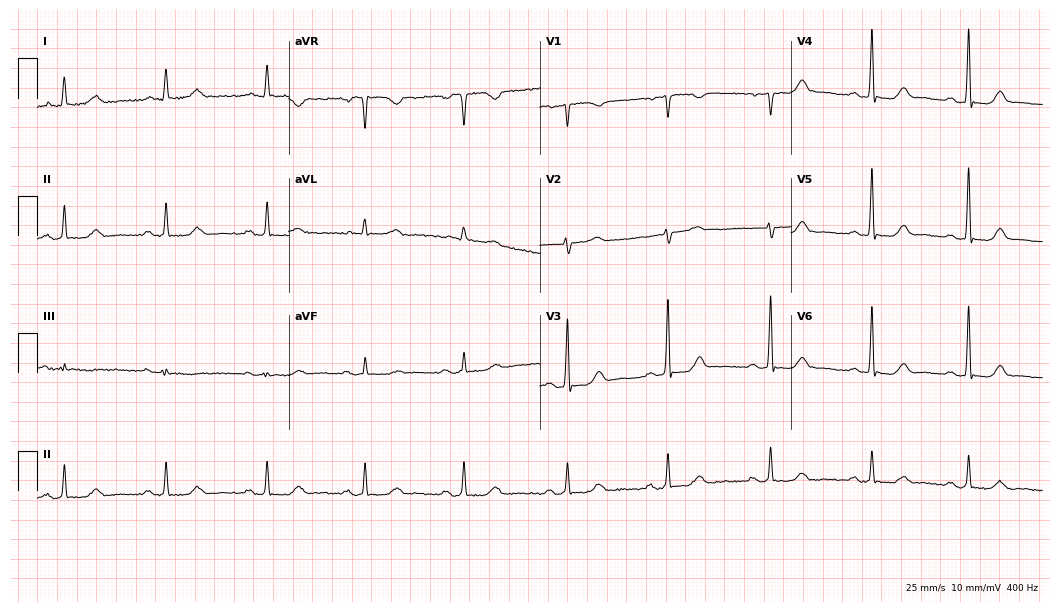
12-lead ECG from a female patient, 65 years old (10.2-second recording at 400 Hz). Recorded interpretation: within normal limits.